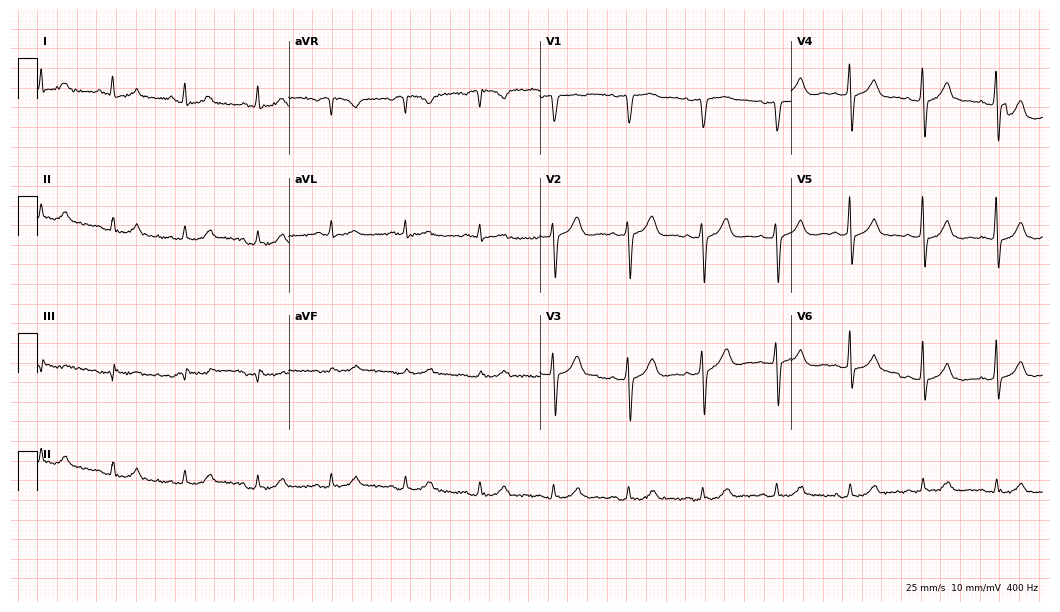
Standard 12-lead ECG recorded from a 62-year-old man. Read as a normal ECG.